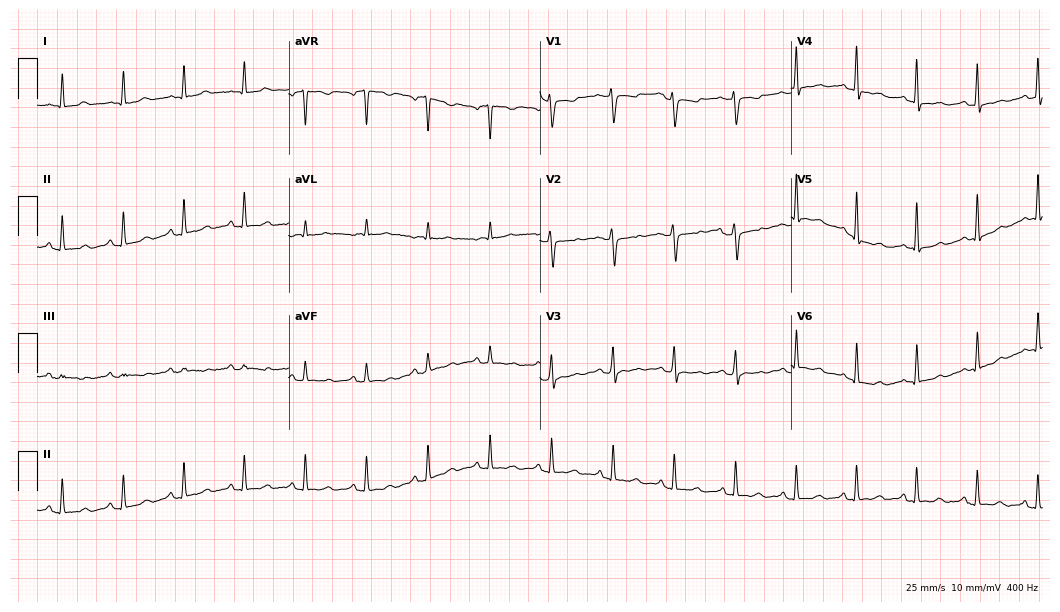
12-lead ECG from a 49-year-old woman (10.2-second recording at 400 Hz). No first-degree AV block, right bundle branch block, left bundle branch block, sinus bradycardia, atrial fibrillation or sinus tachycardia recorded for this tracing.